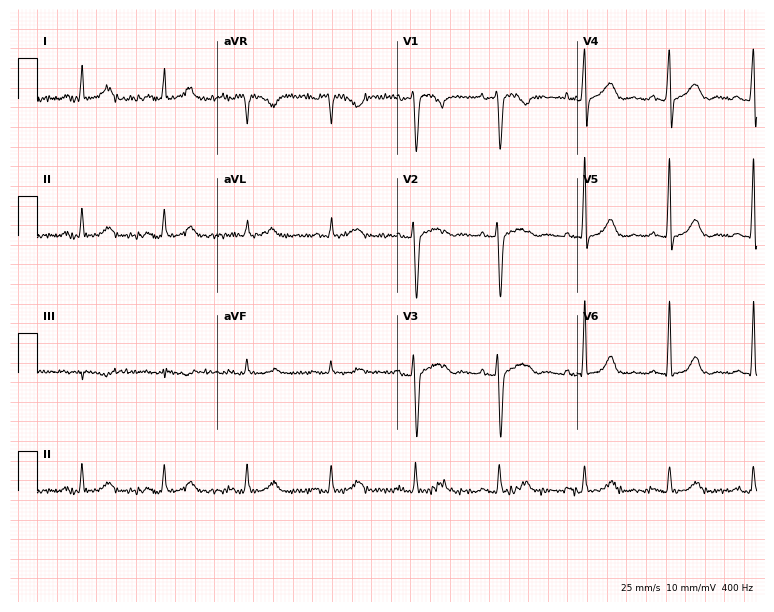
12-lead ECG from a male patient, 57 years old (7.3-second recording at 400 Hz). Recorded interpretation: within normal limits.